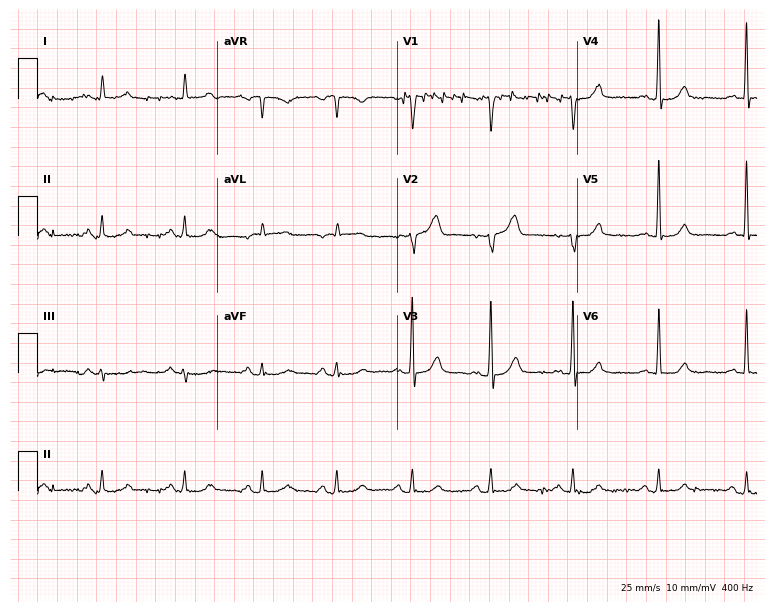
Resting 12-lead electrocardiogram (7.3-second recording at 400 Hz). Patient: a 52-year-old male. Read as a normal ECG.